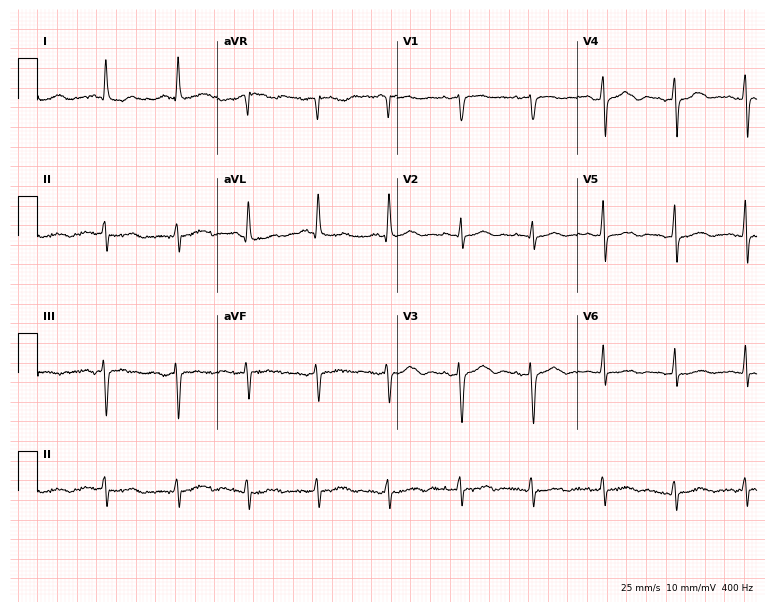
Resting 12-lead electrocardiogram (7.3-second recording at 400 Hz). Patient: a 69-year-old female. None of these six findings is recorded: first-degree AV block, right bundle branch block (RBBB), left bundle branch block (LBBB), sinus bradycardia, atrial fibrillation (AF), sinus tachycardia.